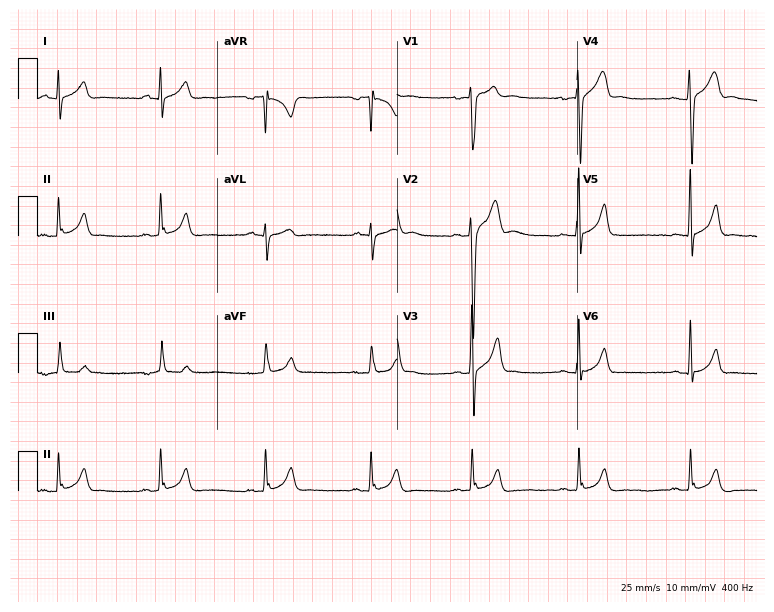
12-lead ECG from a 17-year-old male patient (7.3-second recording at 400 Hz). Recorded interpretation: within normal limits.